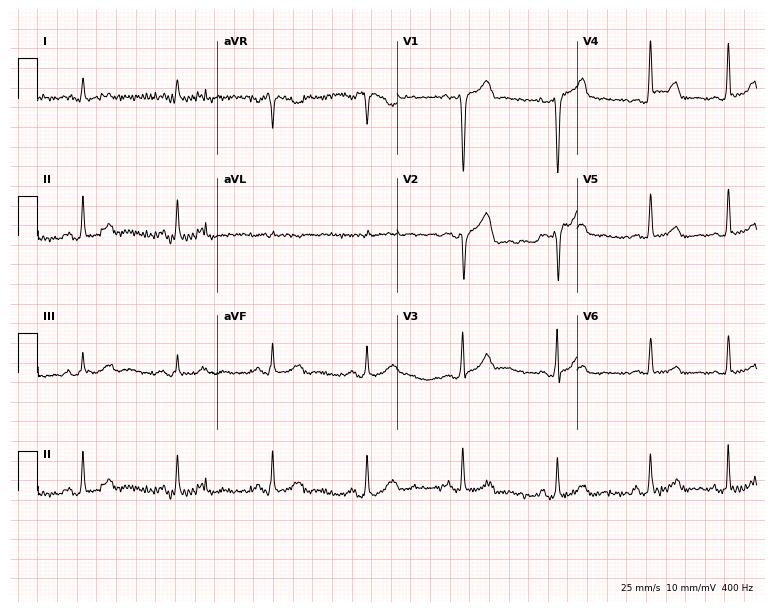
12-lead ECG (7.3-second recording at 400 Hz) from a 57-year-old male. Screened for six findings — first-degree AV block, right bundle branch block, left bundle branch block, sinus bradycardia, atrial fibrillation, sinus tachycardia — none is recorded.